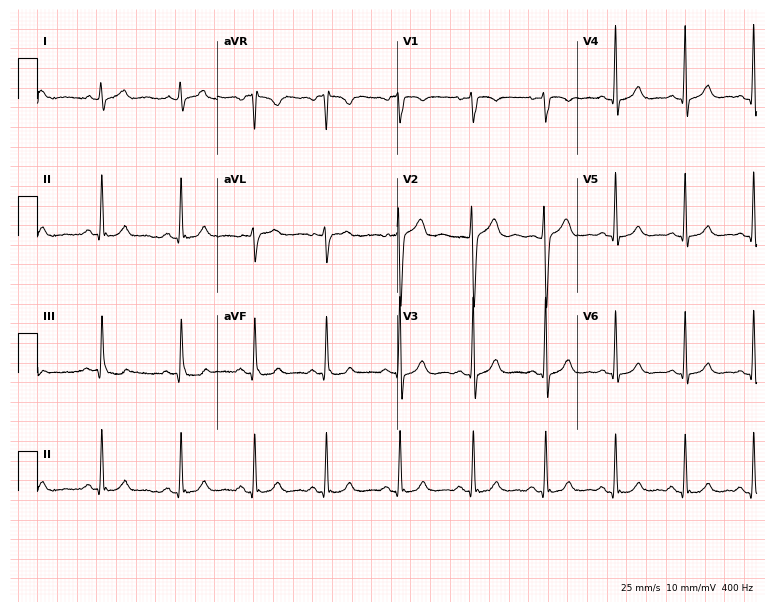
12-lead ECG (7.3-second recording at 400 Hz) from a 28-year-old man. Labelled as a normal ECG.